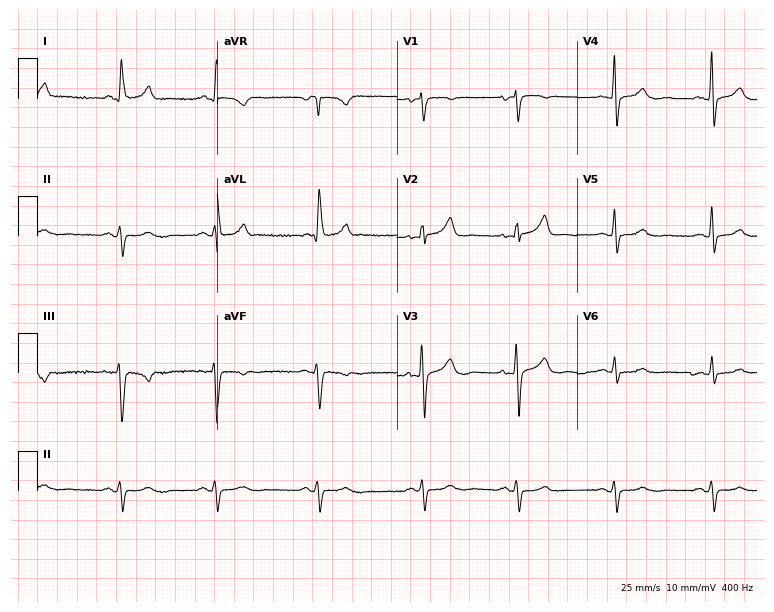
ECG (7.3-second recording at 400 Hz) — a 75-year-old female. Screened for six findings — first-degree AV block, right bundle branch block, left bundle branch block, sinus bradycardia, atrial fibrillation, sinus tachycardia — none is recorded.